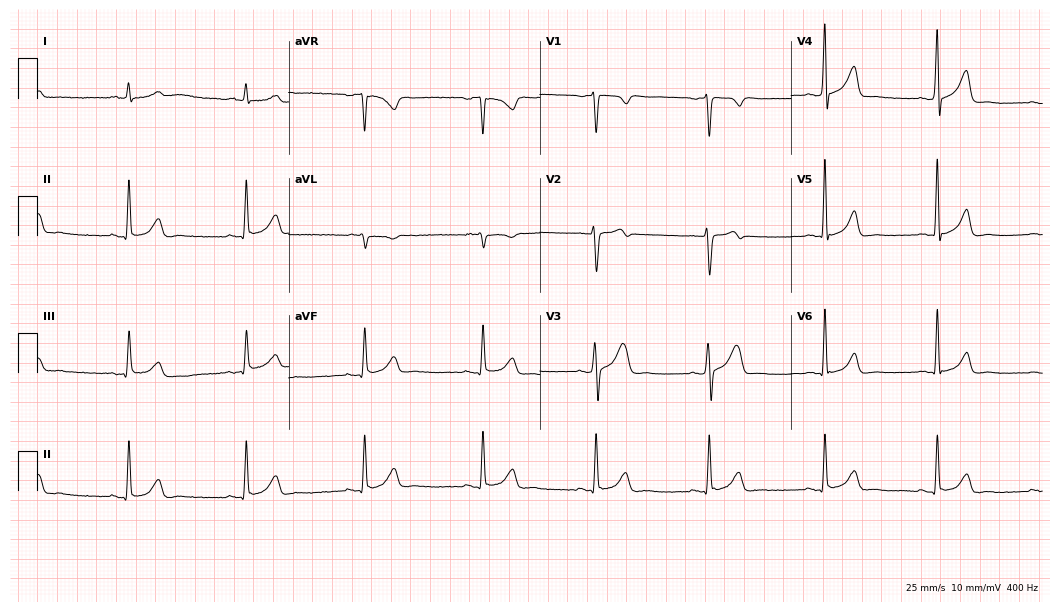
Standard 12-lead ECG recorded from a male, 55 years old (10.2-second recording at 400 Hz). Read as a normal ECG.